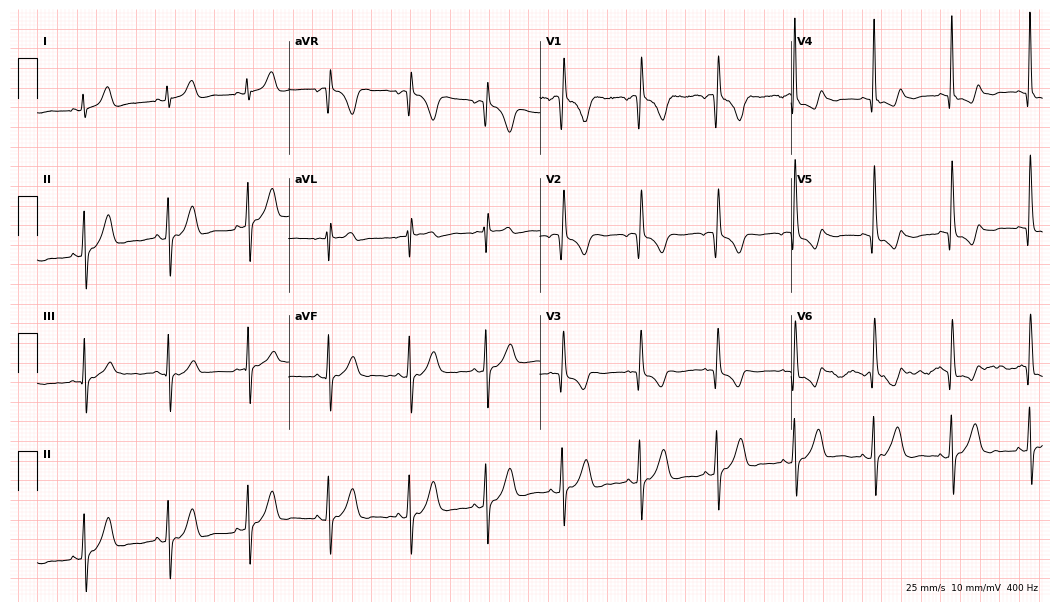
Standard 12-lead ECG recorded from a male patient, 26 years old. None of these six findings is recorded: first-degree AV block, right bundle branch block (RBBB), left bundle branch block (LBBB), sinus bradycardia, atrial fibrillation (AF), sinus tachycardia.